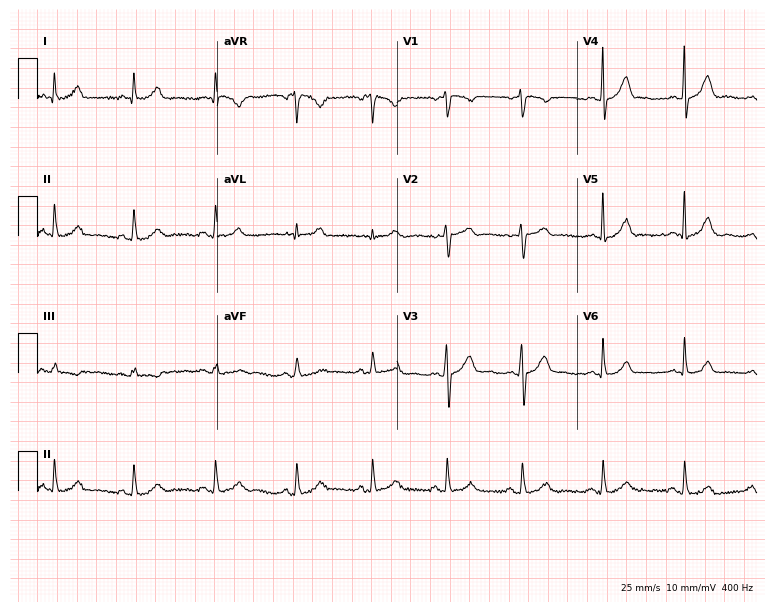
Electrocardiogram, a woman, 33 years old. Overall reading on record: normal ECG.